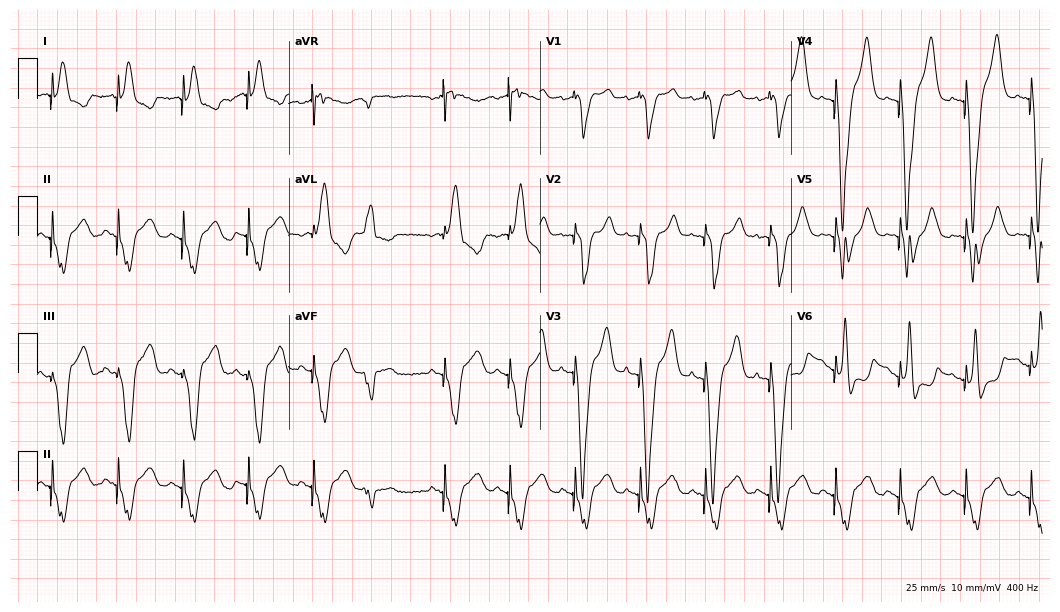
ECG — a woman, 80 years old. Screened for six findings — first-degree AV block, right bundle branch block (RBBB), left bundle branch block (LBBB), sinus bradycardia, atrial fibrillation (AF), sinus tachycardia — none is recorded.